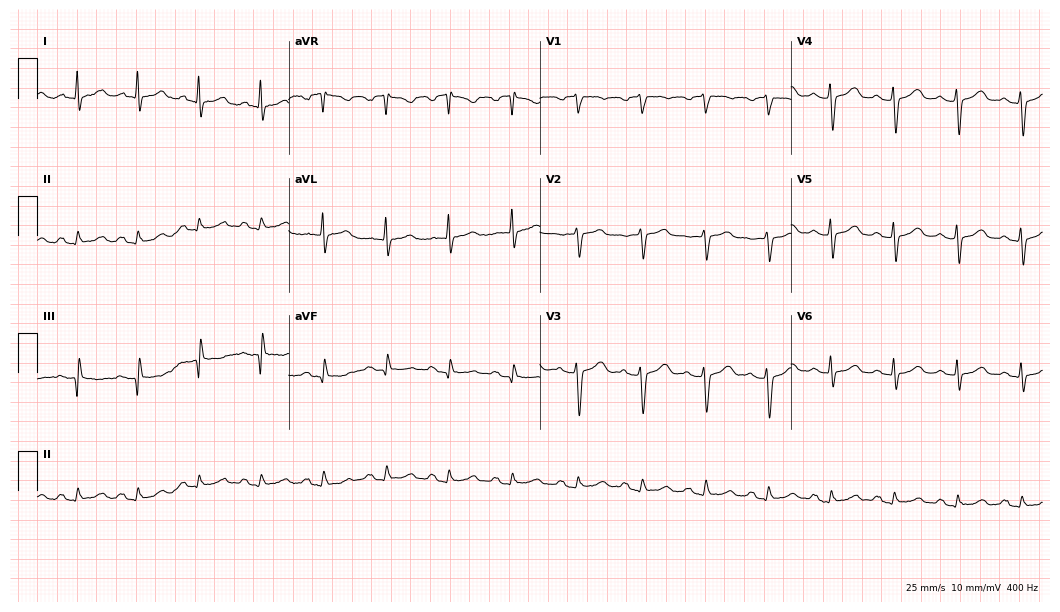
12-lead ECG (10.2-second recording at 400 Hz) from a 57-year-old female patient. Labelled as a normal ECG.